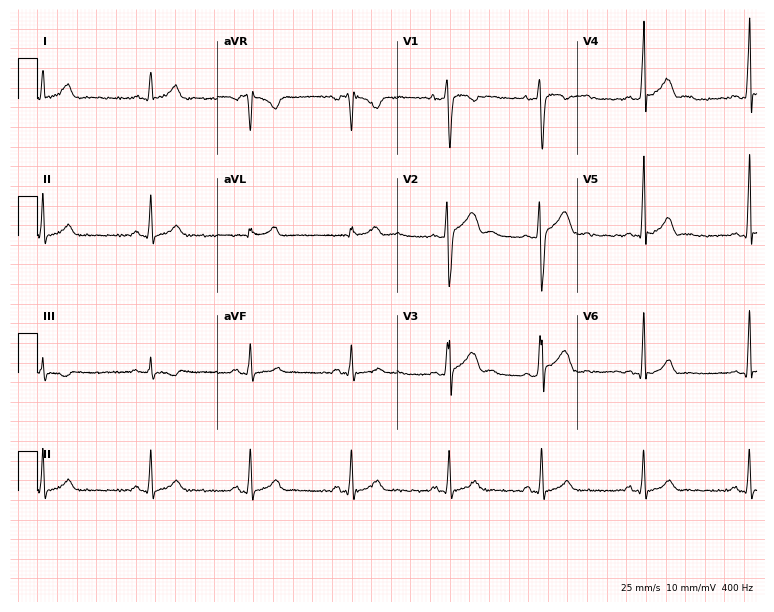
ECG (7.3-second recording at 400 Hz) — a male, 23 years old. Labelled as a normal ECG.